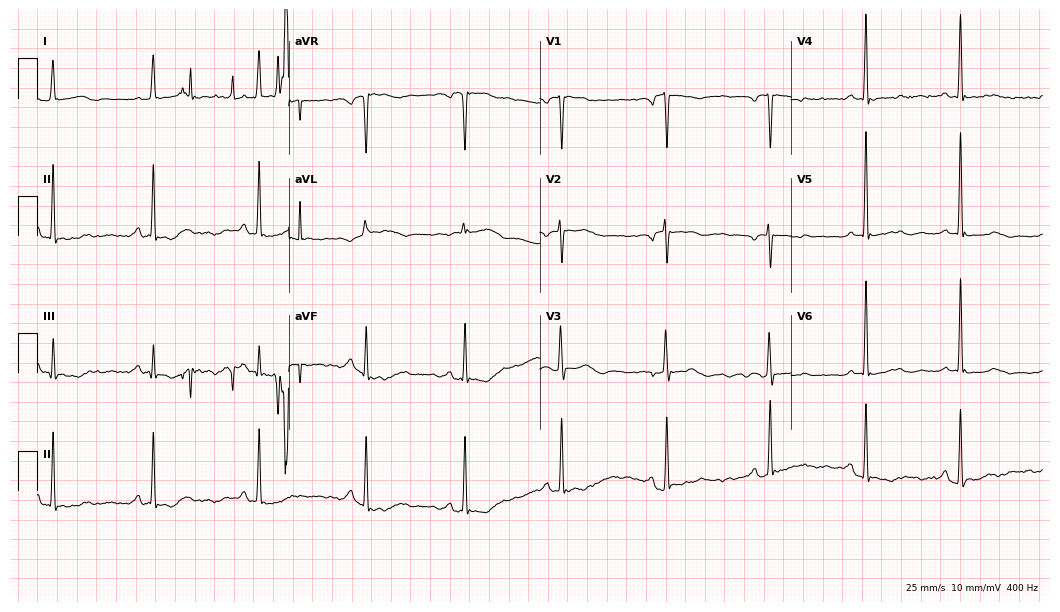
ECG (10.2-second recording at 400 Hz) — a 56-year-old female patient. Screened for six findings — first-degree AV block, right bundle branch block (RBBB), left bundle branch block (LBBB), sinus bradycardia, atrial fibrillation (AF), sinus tachycardia — none is recorded. Other findings, if any, are not listed.